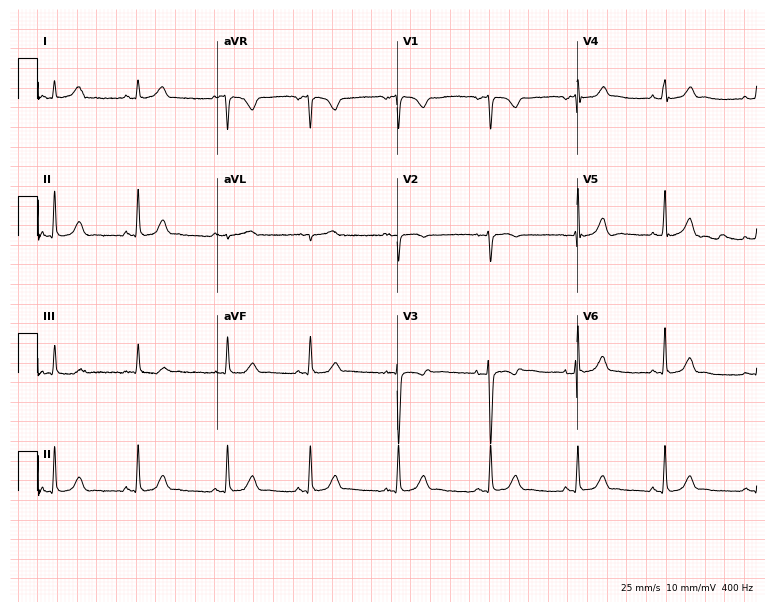
12-lead ECG (7.3-second recording at 400 Hz) from a female patient, 30 years old. Labelled as a normal ECG.